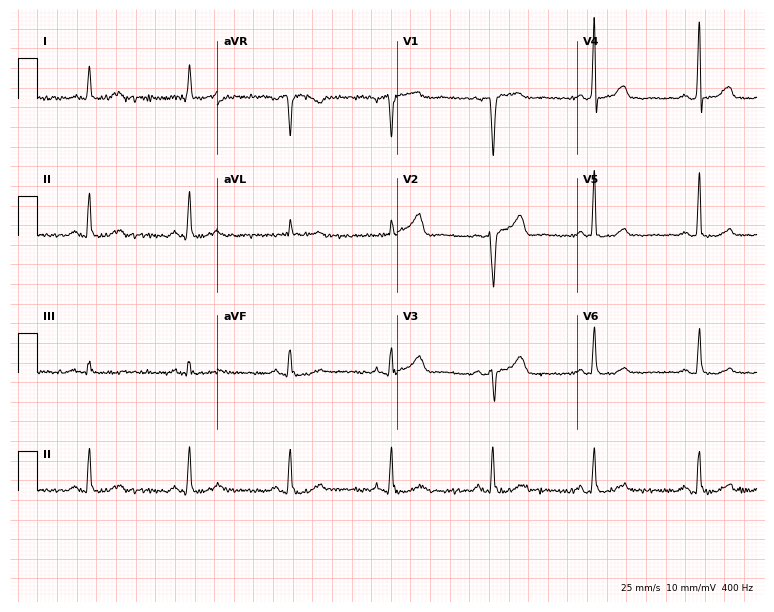
Resting 12-lead electrocardiogram. Patient: a female, 59 years old. None of these six findings is recorded: first-degree AV block, right bundle branch block, left bundle branch block, sinus bradycardia, atrial fibrillation, sinus tachycardia.